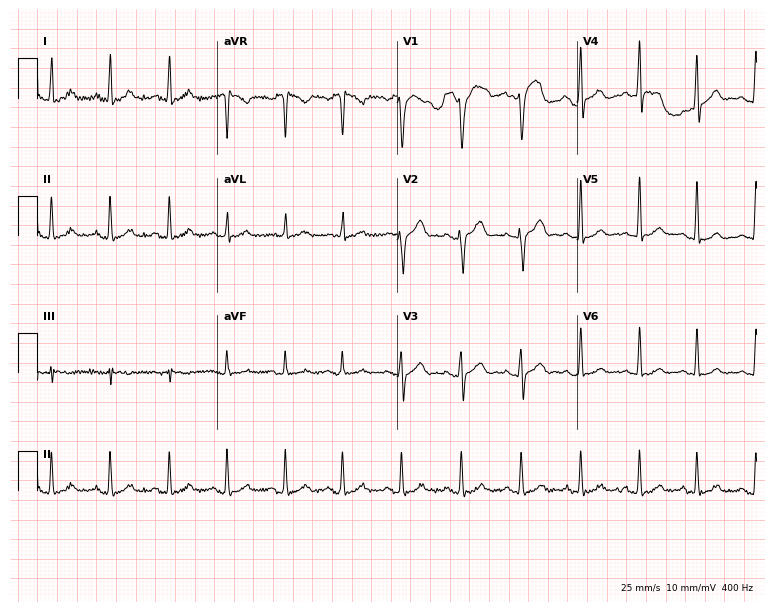
12-lead ECG (7.3-second recording at 400 Hz) from a 23-year-old man. Findings include sinus tachycardia (a sinus rate of 100 beats per minute or more).